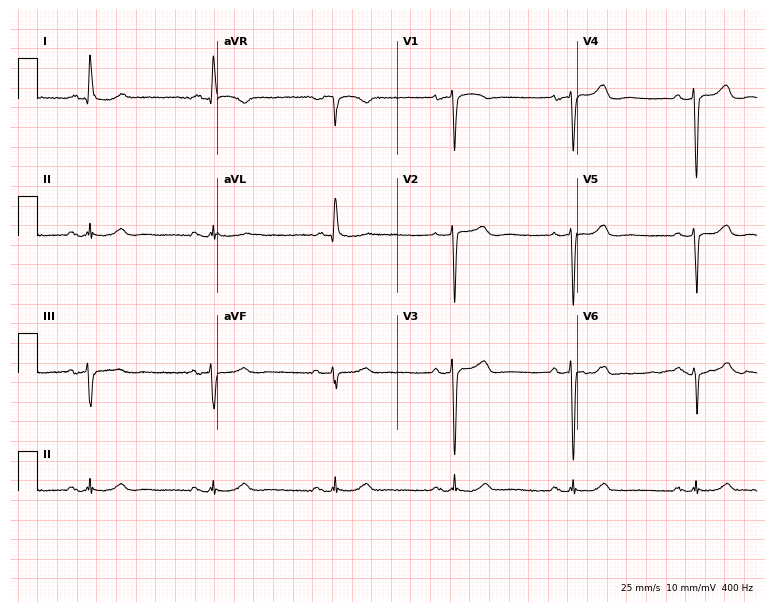
12-lead ECG from a female, 79 years old. Shows sinus bradycardia (a sinus rate of 50 beats per minute or less).